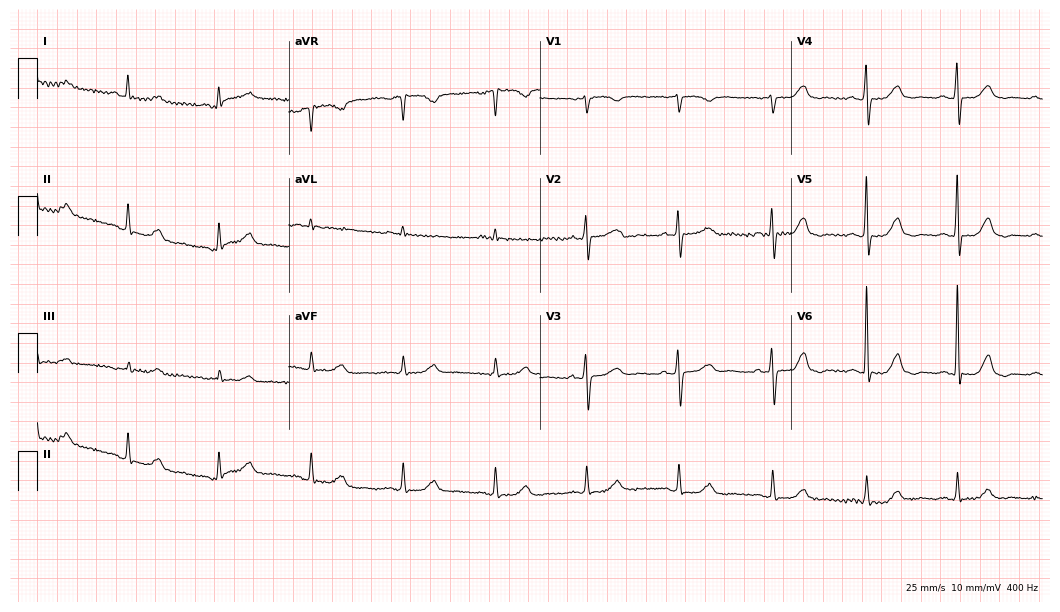
12-lead ECG from an 84-year-old female patient. Labelled as a normal ECG.